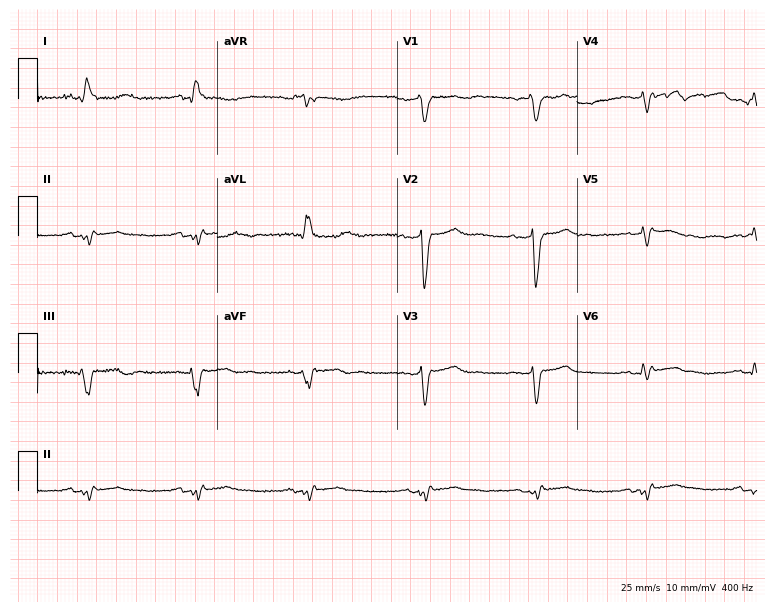
Standard 12-lead ECG recorded from a woman, 61 years old (7.3-second recording at 400 Hz). The tracing shows left bundle branch block.